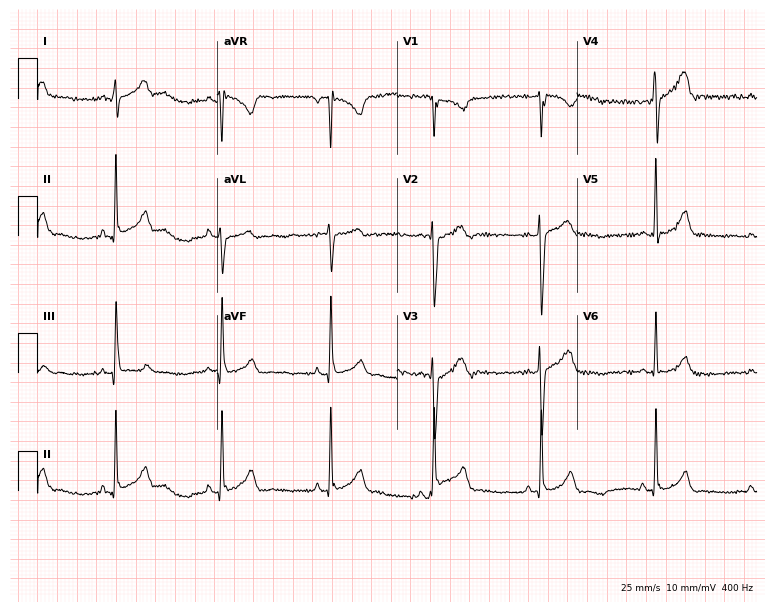
Electrocardiogram, a 21-year-old man. Of the six screened findings (first-degree AV block, right bundle branch block, left bundle branch block, sinus bradycardia, atrial fibrillation, sinus tachycardia), none is recorded. Only these six findings were labelled.